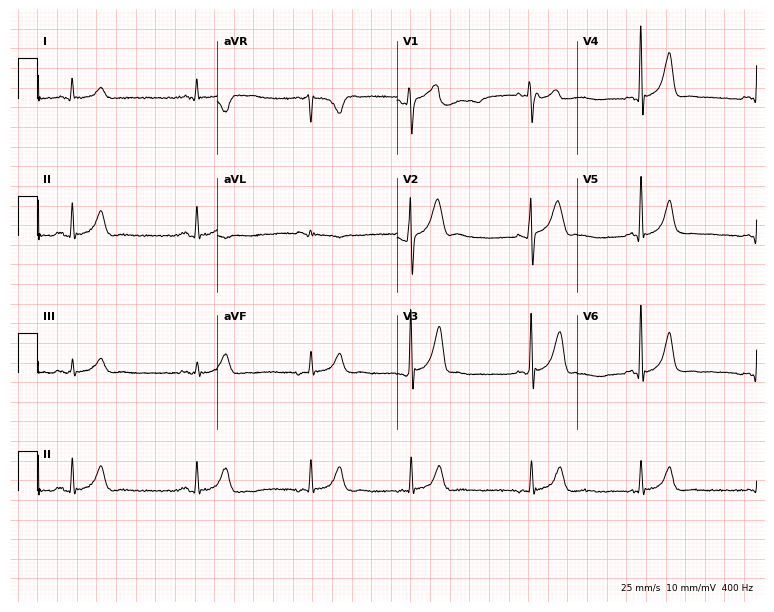
Resting 12-lead electrocardiogram. Patient: a male, 40 years old. Read as a normal ECG.